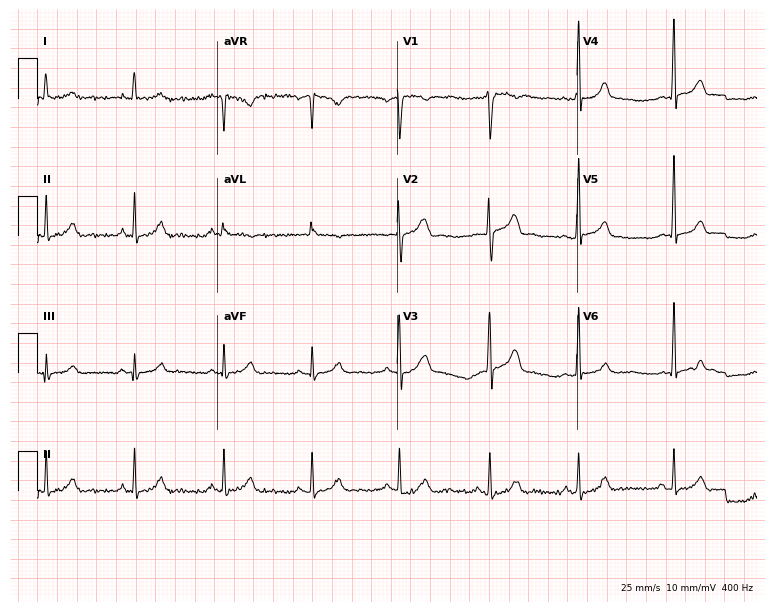
Resting 12-lead electrocardiogram. Patient: a male, 28 years old. None of these six findings is recorded: first-degree AV block, right bundle branch block, left bundle branch block, sinus bradycardia, atrial fibrillation, sinus tachycardia. Findings outside these six are not listed.